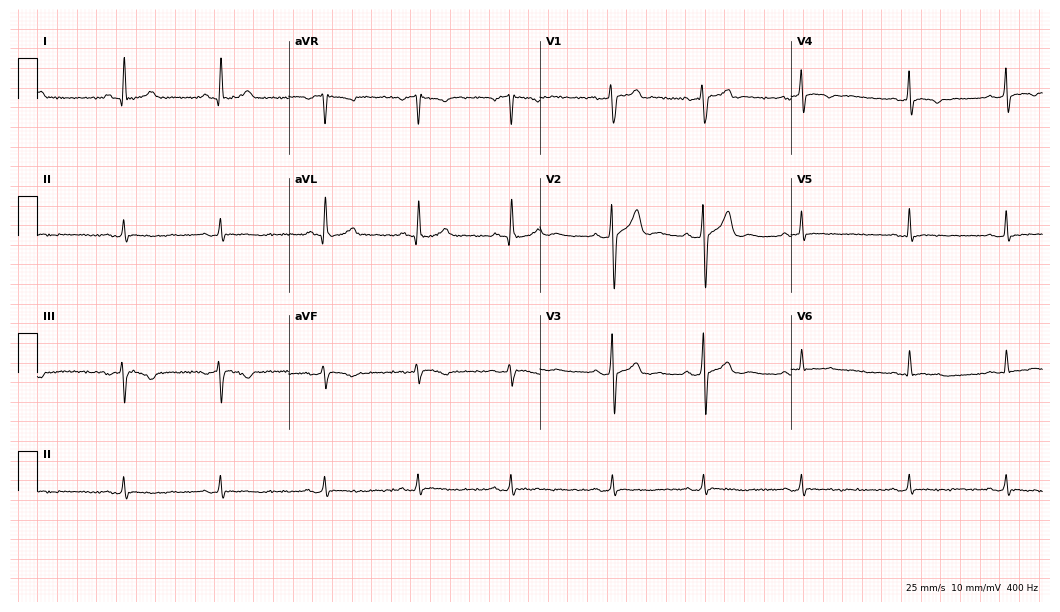
Electrocardiogram (10.2-second recording at 400 Hz), a 39-year-old male patient. Of the six screened findings (first-degree AV block, right bundle branch block, left bundle branch block, sinus bradycardia, atrial fibrillation, sinus tachycardia), none is recorded. Other findings, if any, are not listed.